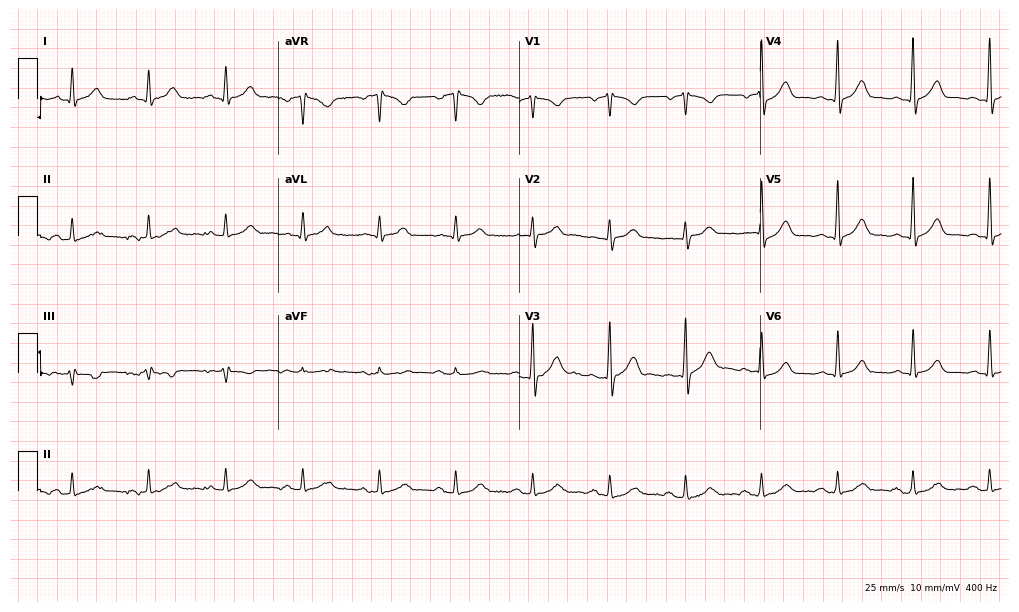
Resting 12-lead electrocardiogram. Patient: a 66-year-old man. Read as a normal ECG.